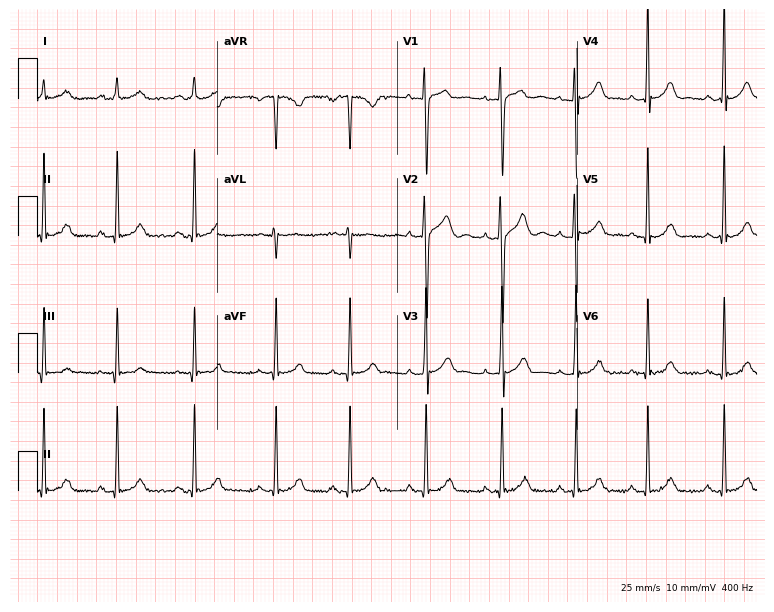
12-lead ECG from a 20-year-old male patient. Labelled as a normal ECG.